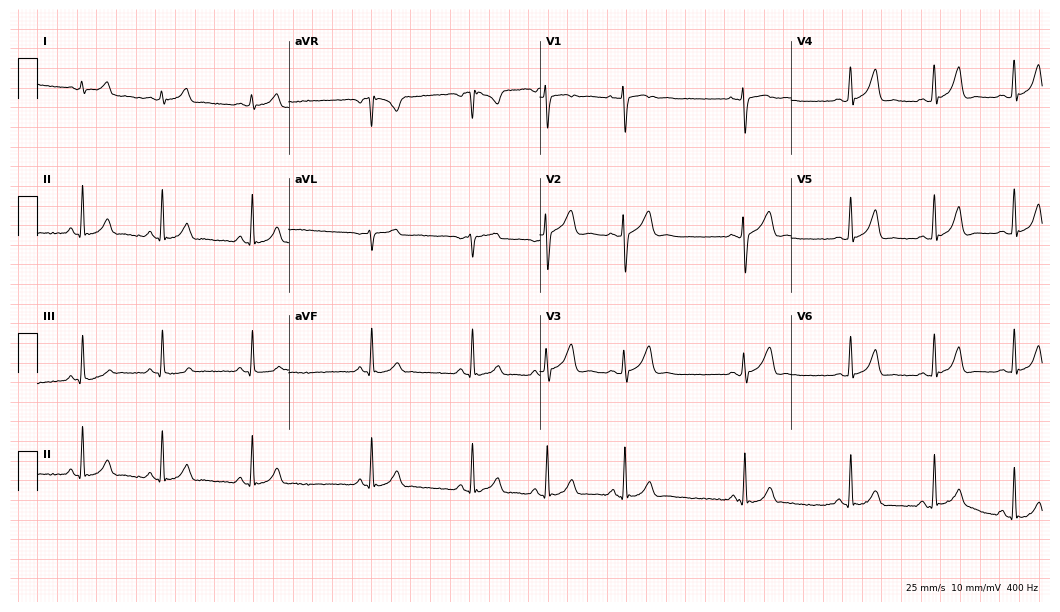
12-lead ECG from a woman, 19 years old. No first-degree AV block, right bundle branch block (RBBB), left bundle branch block (LBBB), sinus bradycardia, atrial fibrillation (AF) or sinus tachycardia recorded for this tracing.